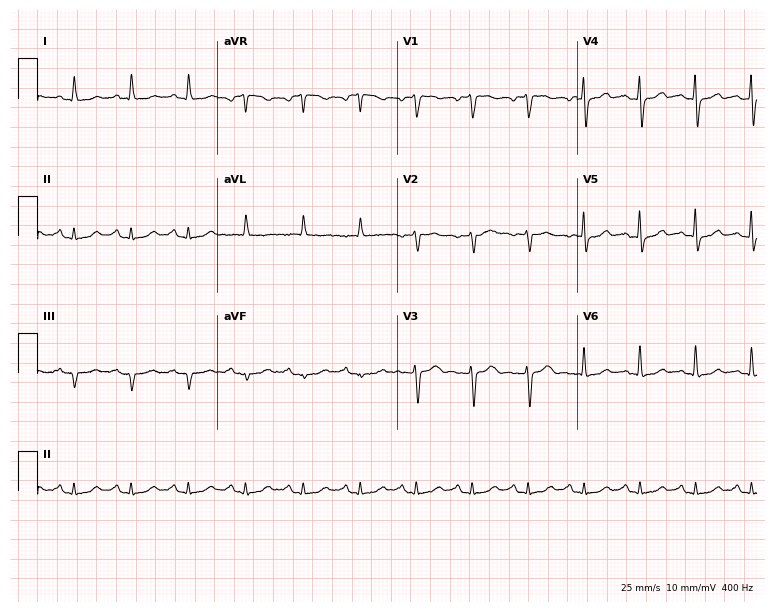
12-lead ECG from a male, 64 years old. Findings include sinus tachycardia (a sinus rate of 100 beats per minute or more).